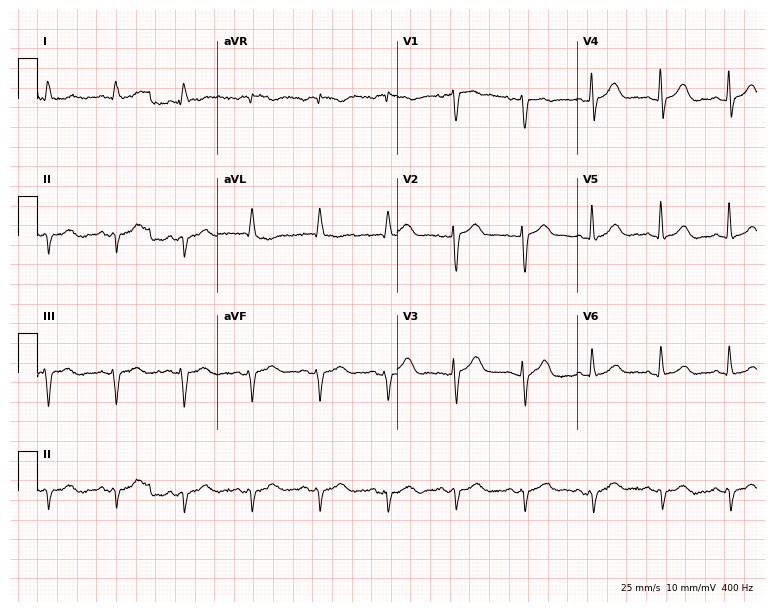
Electrocardiogram (7.3-second recording at 400 Hz), an 83-year-old man. Of the six screened findings (first-degree AV block, right bundle branch block, left bundle branch block, sinus bradycardia, atrial fibrillation, sinus tachycardia), none is recorded. Other findings, if any, are not listed.